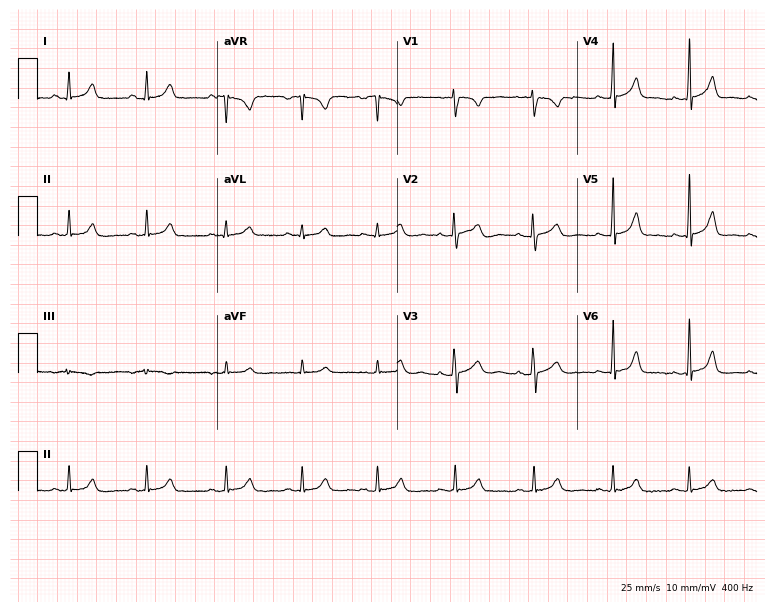
12-lead ECG from a female patient, 19 years old (7.3-second recording at 400 Hz). Recorded interpretation: within normal limits.